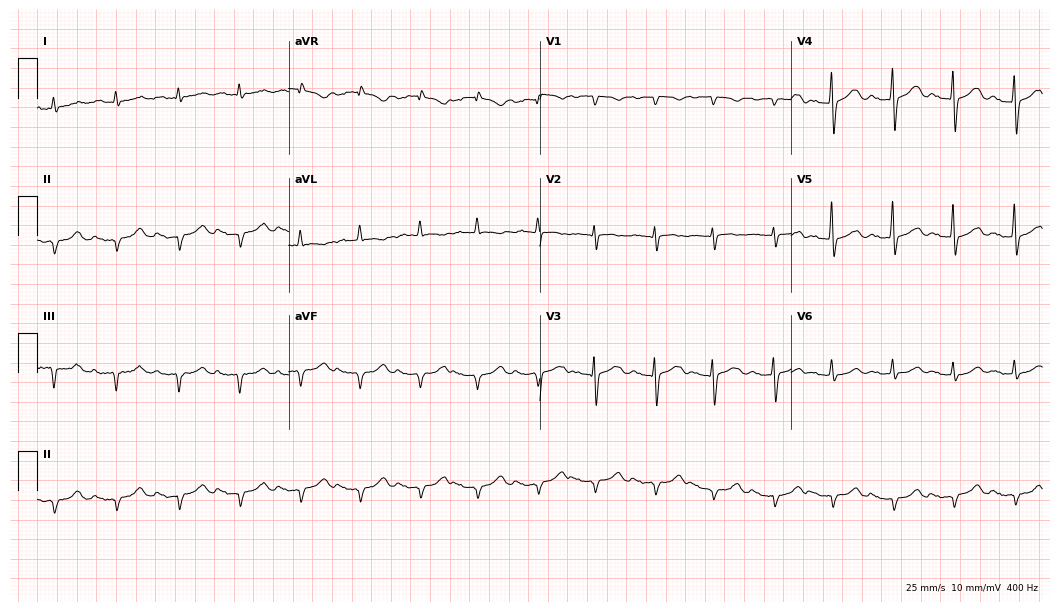
12-lead ECG from an 85-year-old man. Shows first-degree AV block.